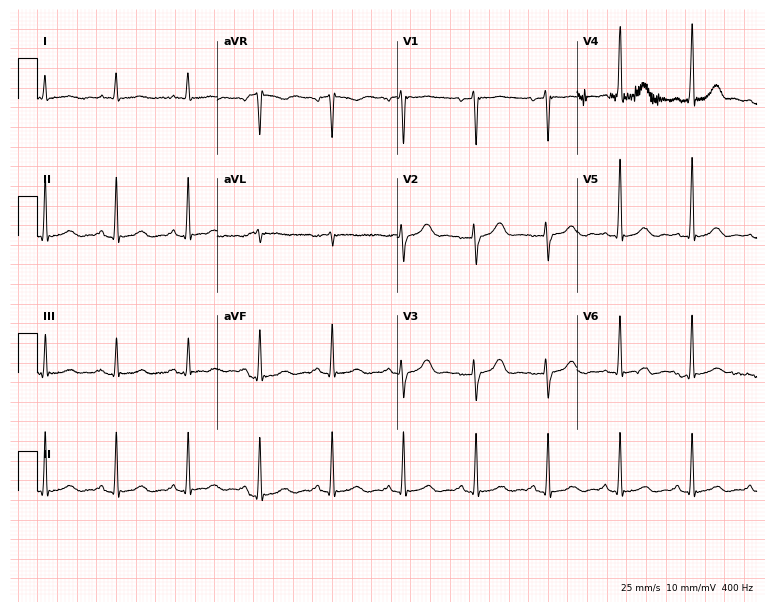
12-lead ECG from a man, 48 years old. Recorded interpretation: within normal limits.